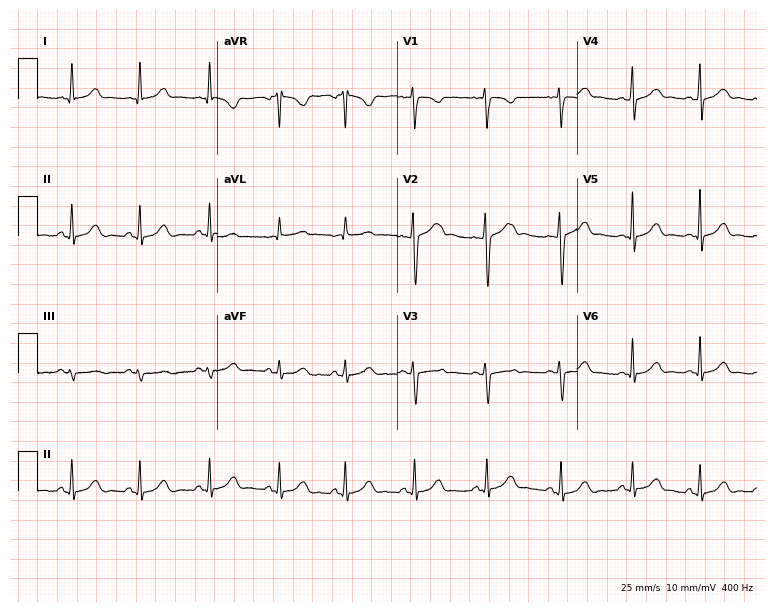
12-lead ECG from a female, 24 years old. Recorded interpretation: within normal limits.